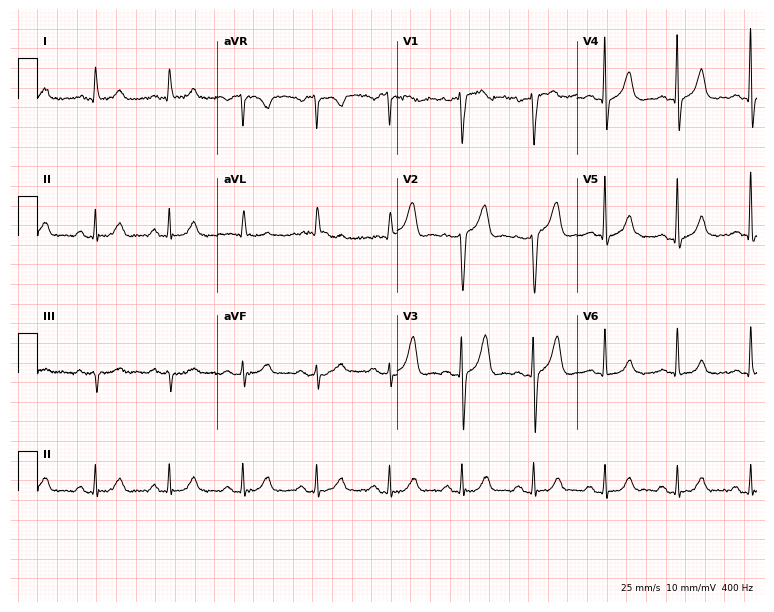
Standard 12-lead ECG recorded from a male patient, 67 years old (7.3-second recording at 400 Hz). None of these six findings is recorded: first-degree AV block, right bundle branch block (RBBB), left bundle branch block (LBBB), sinus bradycardia, atrial fibrillation (AF), sinus tachycardia. Findings outside these six are not listed.